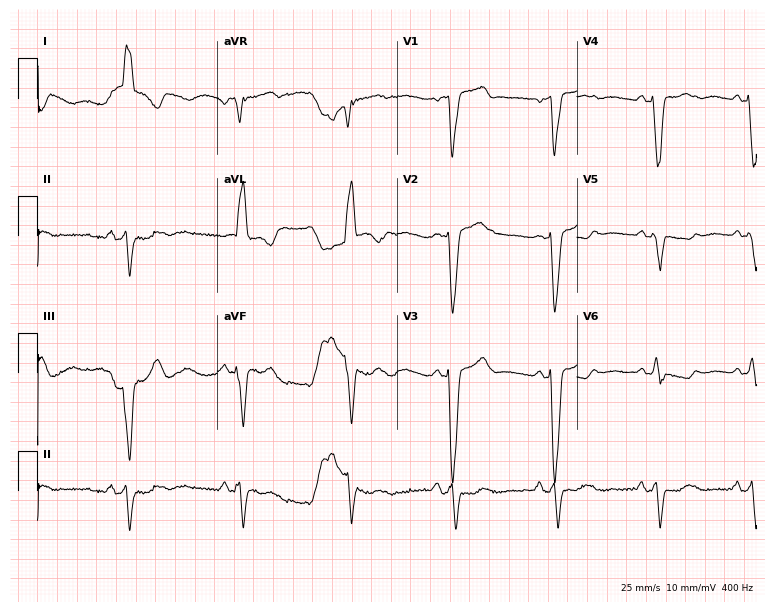
Standard 12-lead ECG recorded from a female patient, 80 years old. The tracing shows left bundle branch block.